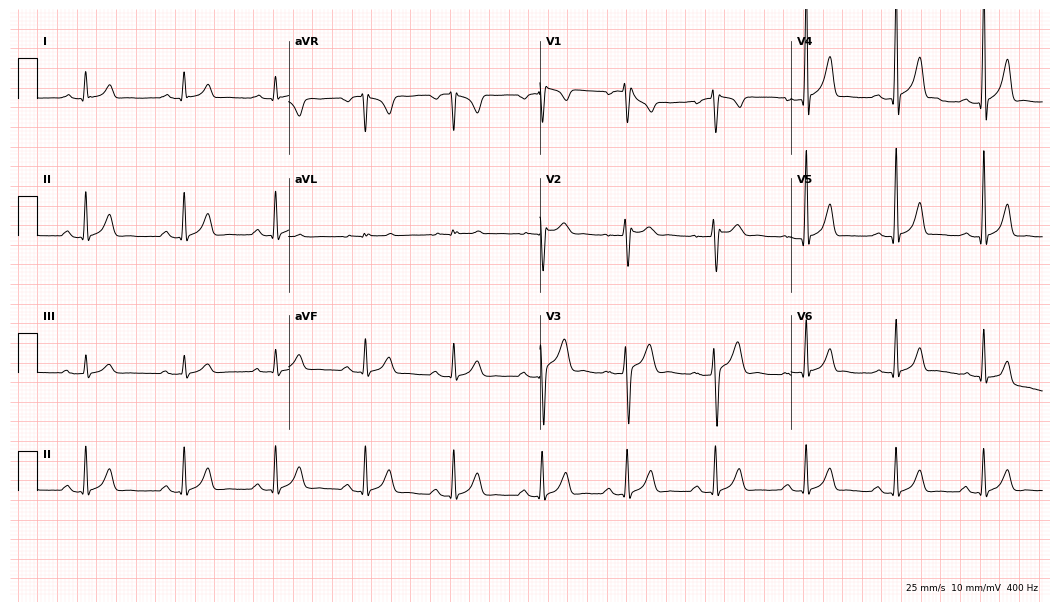
Electrocardiogram, a female patient, 23 years old. Overall reading on record: normal ECG.